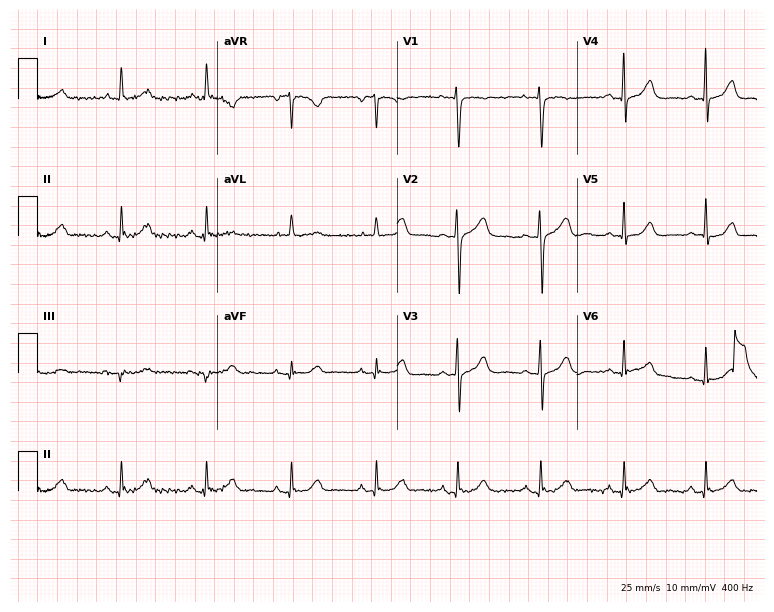
ECG (7.3-second recording at 400 Hz) — a woman, 70 years old. Labelled as a normal ECG.